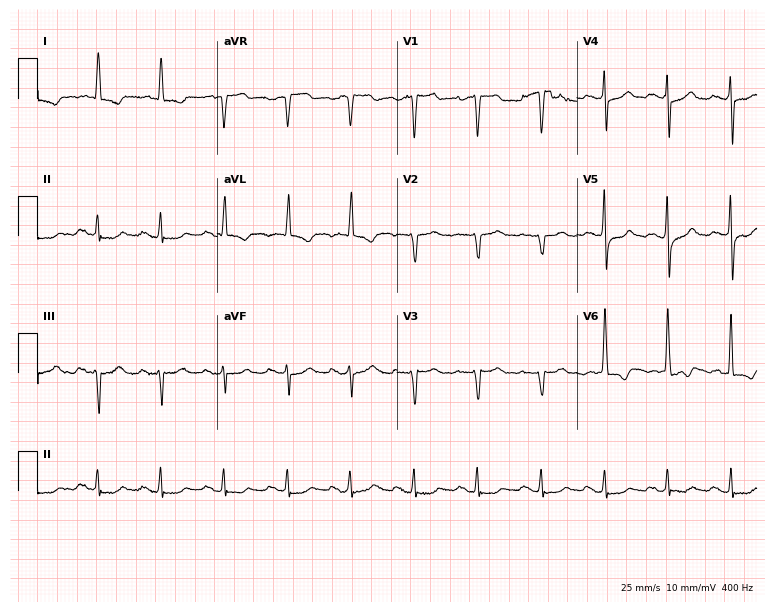
12-lead ECG from a female, 71 years old. Screened for six findings — first-degree AV block, right bundle branch block, left bundle branch block, sinus bradycardia, atrial fibrillation, sinus tachycardia — none is recorded. Other findings, if any, are not listed.